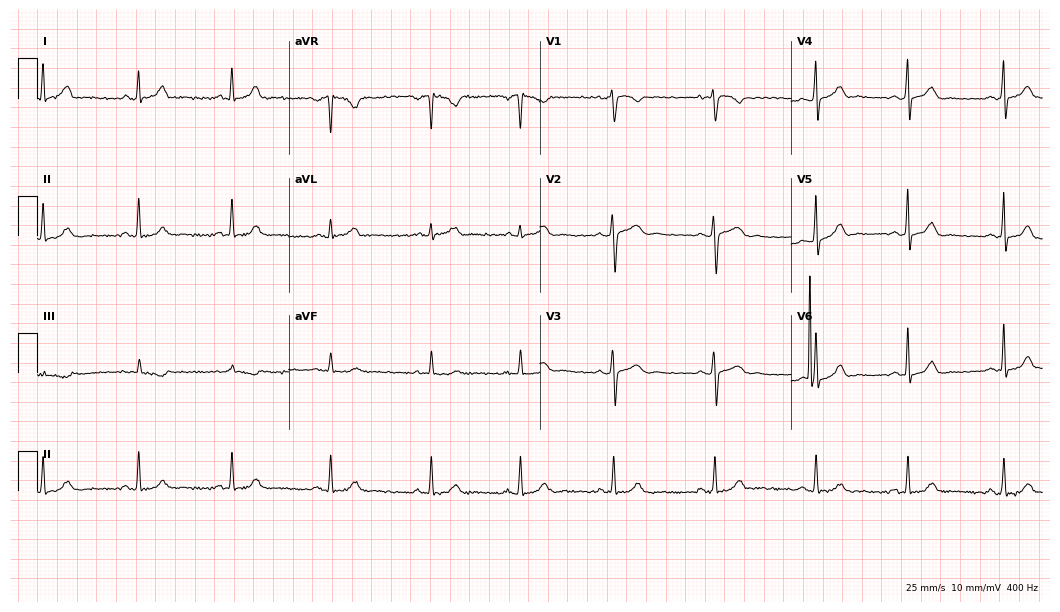
ECG (10.2-second recording at 400 Hz) — a 30-year-old female. Screened for six findings — first-degree AV block, right bundle branch block, left bundle branch block, sinus bradycardia, atrial fibrillation, sinus tachycardia — none is recorded. Only these six findings were labelled.